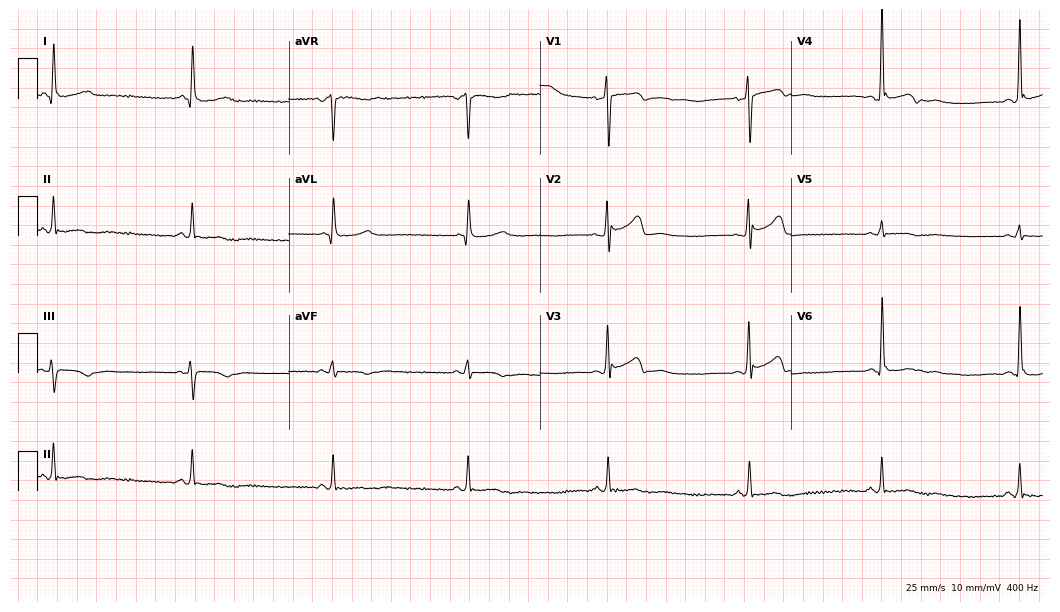
Electrocardiogram, a man, 51 years old. Of the six screened findings (first-degree AV block, right bundle branch block, left bundle branch block, sinus bradycardia, atrial fibrillation, sinus tachycardia), none is recorded.